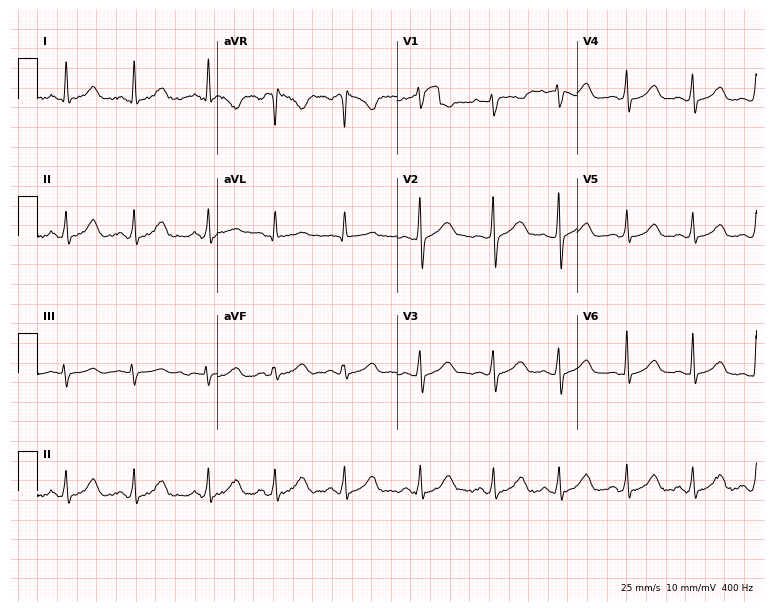
Standard 12-lead ECG recorded from a 32-year-old female patient (7.3-second recording at 400 Hz). None of these six findings is recorded: first-degree AV block, right bundle branch block, left bundle branch block, sinus bradycardia, atrial fibrillation, sinus tachycardia. Other findings, if any, are not listed.